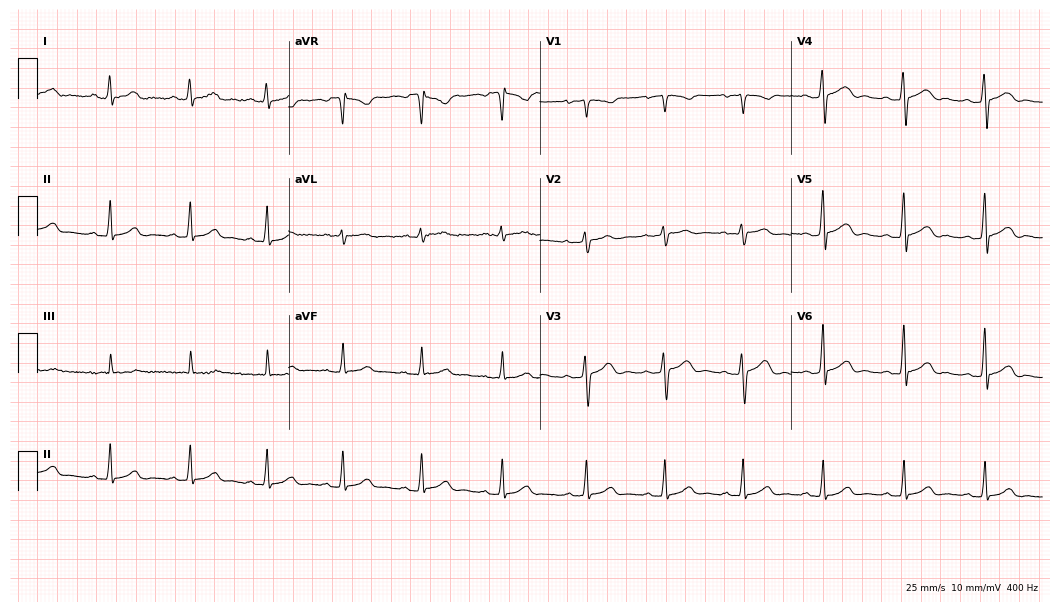
Resting 12-lead electrocardiogram. Patient: a 34-year-old woman. Read as a normal ECG.